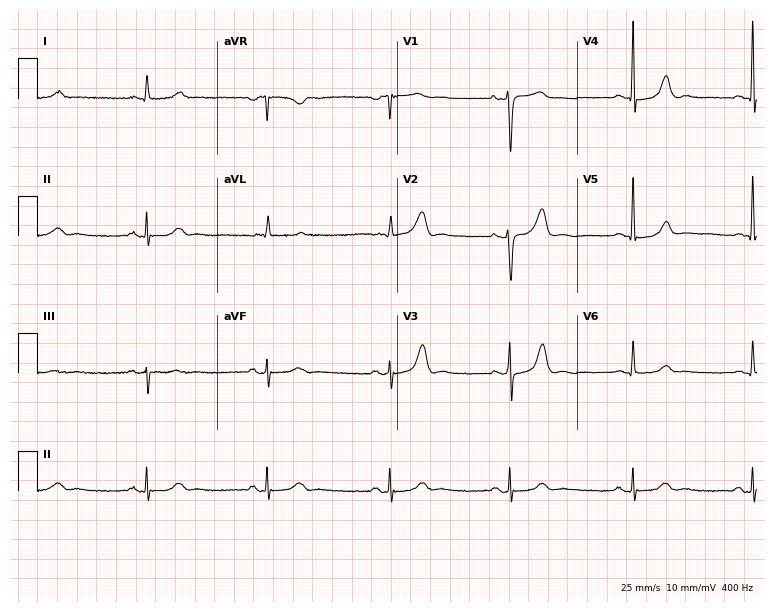
12-lead ECG from an 80-year-old female (7.3-second recording at 400 Hz). Shows sinus bradycardia (a sinus rate of 50 beats per minute or less).